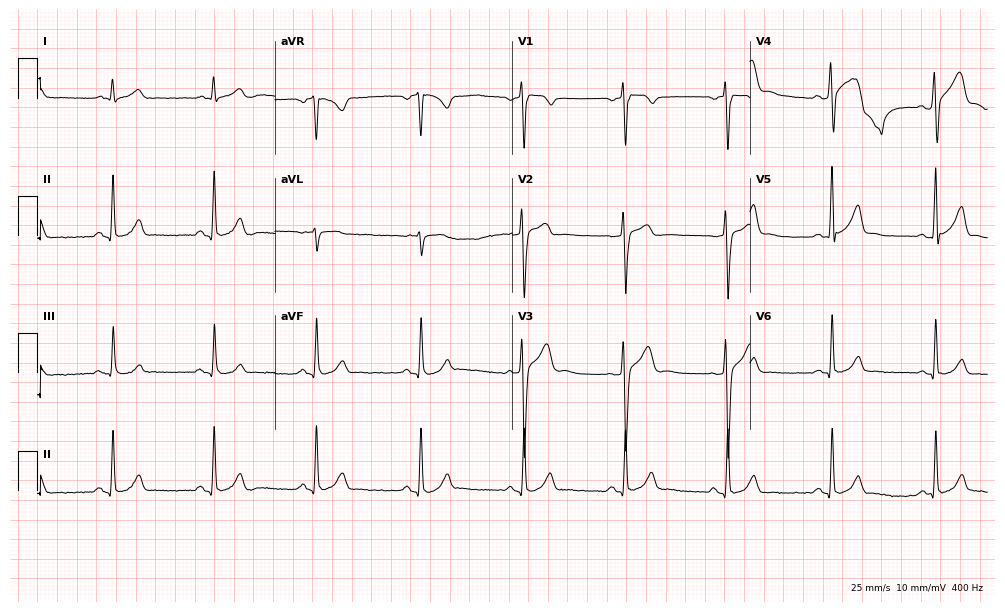
ECG — a 34-year-old male patient. Labelled as a normal ECG.